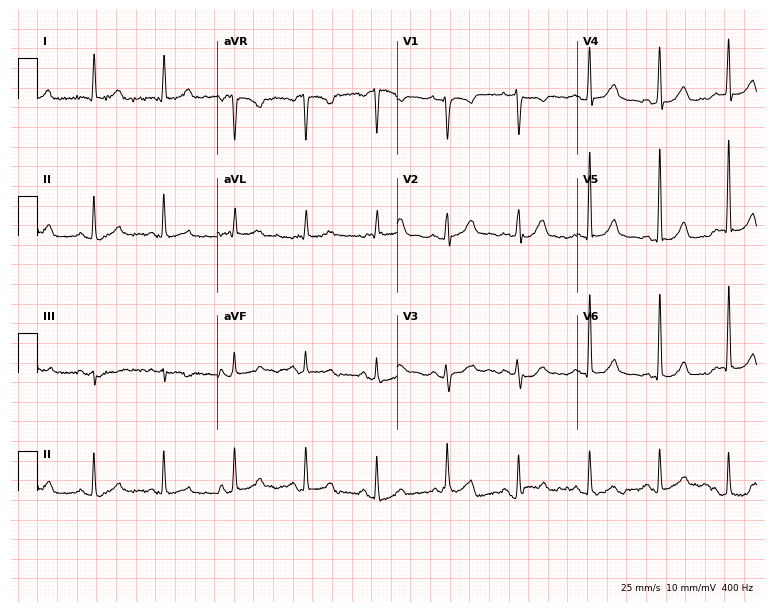
Resting 12-lead electrocardiogram. Patient: a woman, 64 years old. Read as a normal ECG.